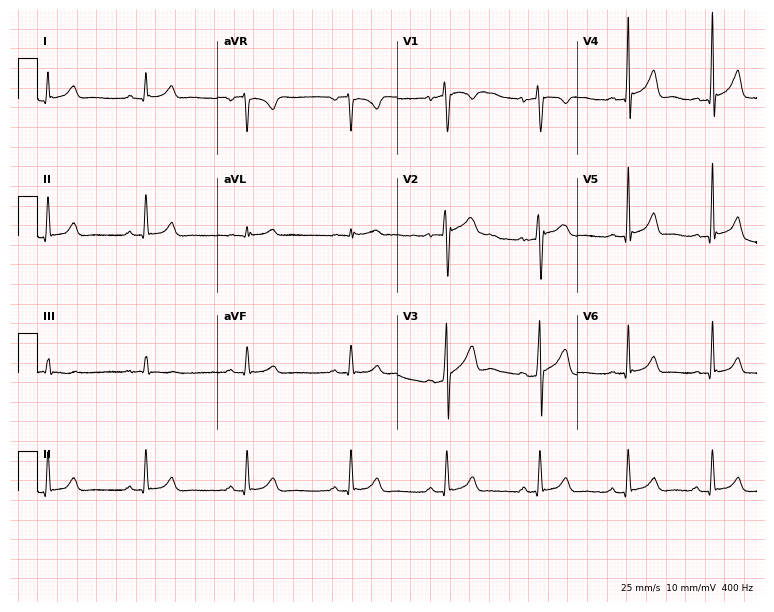
ECG — a 31-year-old man. Screened for six findings — first-degree AV block, right bundle branch block, left bundle branch block, sinus bradycardia, atrial fibrillation, sinus tachycardia — none is recorded. Other findings, if any, are not listed.